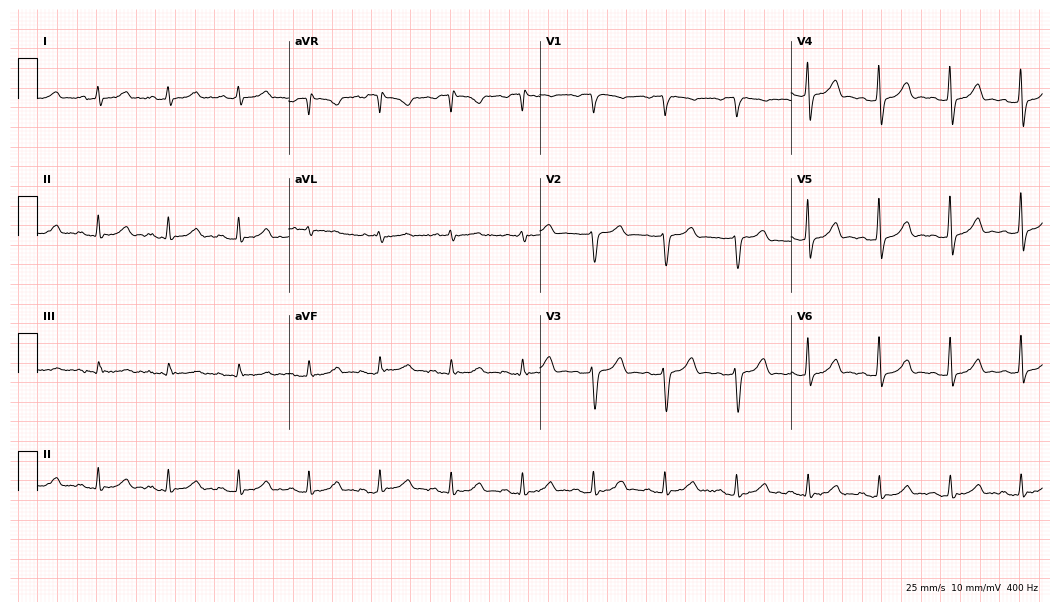
Standard 12-lead ECG recorded from a 62-year-old male patient (10.2-second recording at 400 Hz). None of these six findings is recorded: first-degree AV block, right bundle branch block, left bundle branch block, sinus bradycardia, atrial fibrillation, sinus tachycardia.